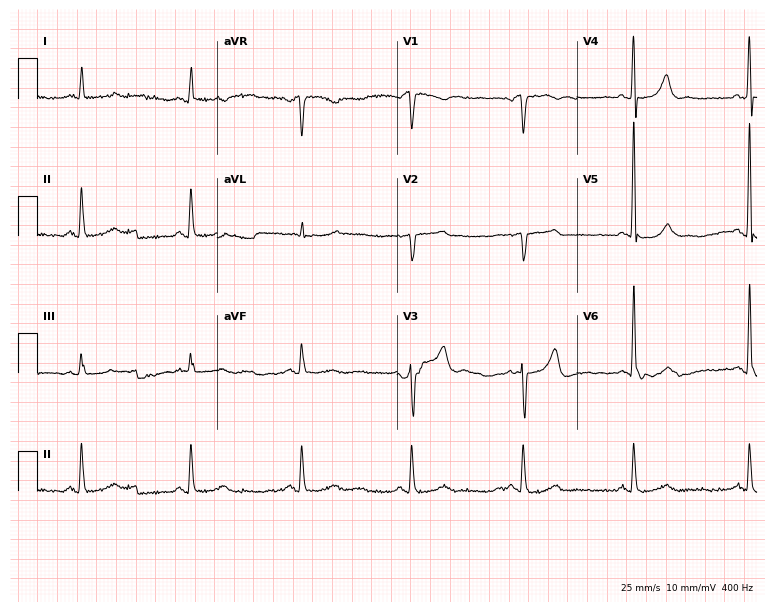
ECG (7.3-second recording at 400 Hz) — a 73-year-old male patient. Screened for six findings — first-degree AV block, right bundle branch block, left bundle branch block, sinus bradycardia, atrial fibrillation, sinus tachycardia — none is recorded. Other findings, if any, are not listed.